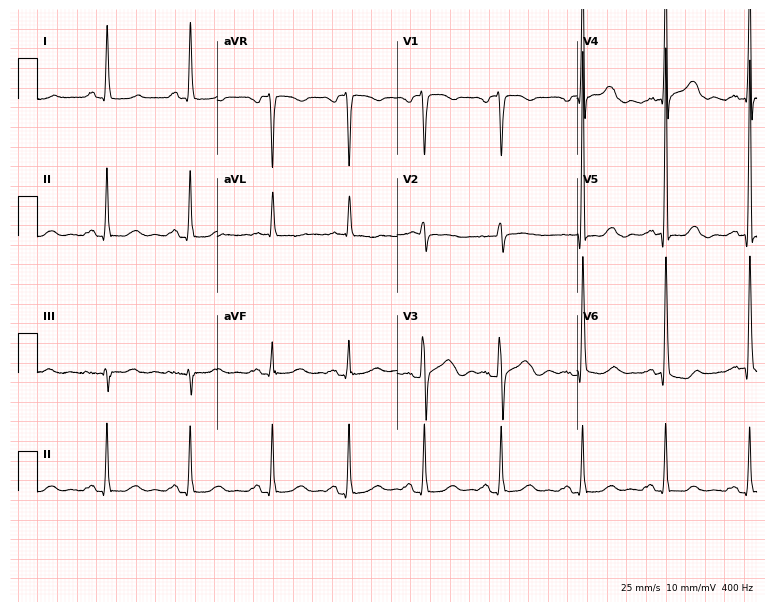
12-lead ECG from a woman, 50 years old. Screened for six findings — first-degree AV block, right bundle branch block, left bundle branch block, sinus bradycardia, atrial fibrillation, sinus tachycardia — none is recorded.